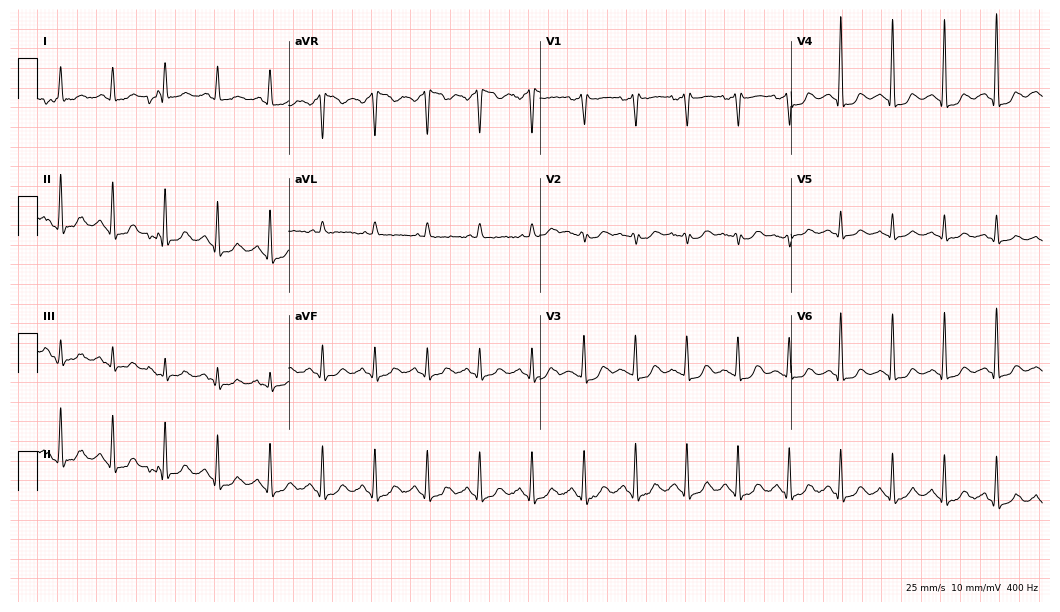
Standard 12-lead ECG recorded from a female patient, 77 years old. The tracing shows sinus tachycardia (a sinus rate of 100 beats per minute or more).